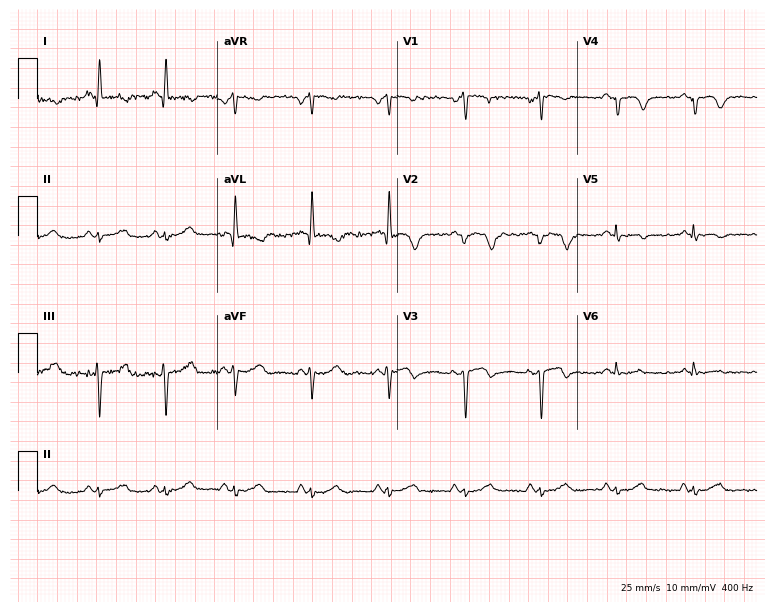
Standard 12-lead ECG recorded from a 50-year-old female patient. None of these six findings is recorded: first-degree AV block, right bundle branch block (RBBB), left bundle branch block (LBBB), sinus bradycardia, atrial fibrillation (AF), sinus tachycardia. Other findings, if any, are not listed.